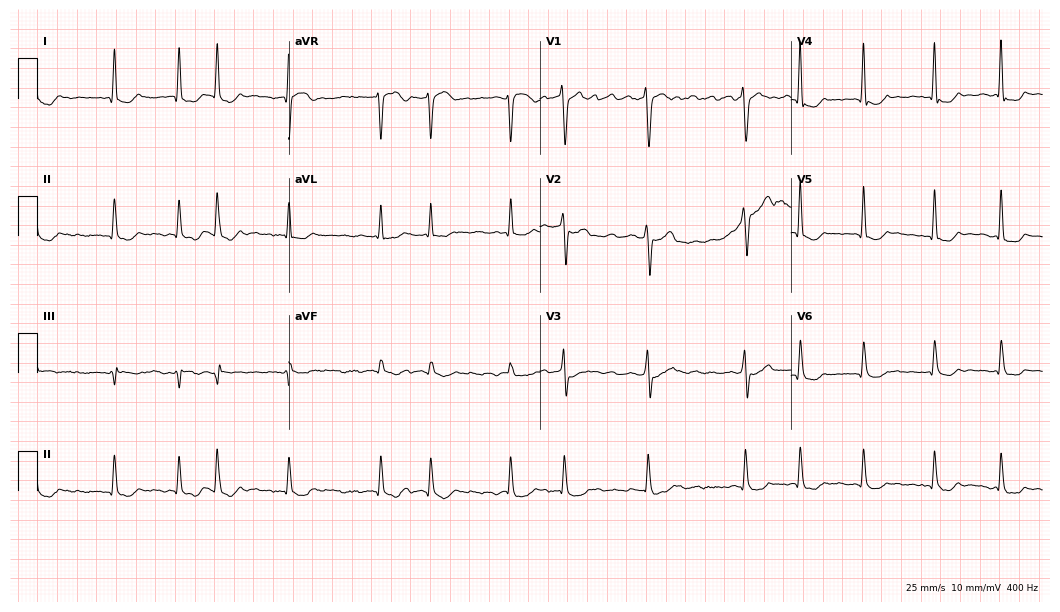
Standard 12-lead ECG recorded from a female patient, 68 years old. The tracing shows atrial fibrillation.